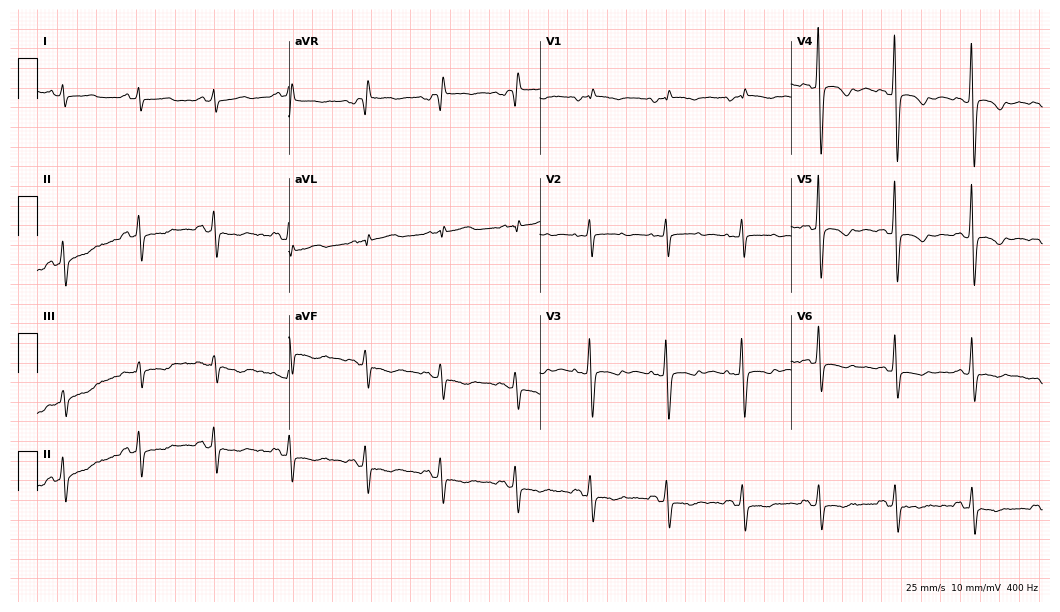
Standard 12-lead ECG recorded from a woman, 48 years old. None of these six findings is recorded: first-degree AV block, right bundle branch block (RBBB), left bundle branch block (LBBB), sinus bradycardia, atrial fibrillation (AF), sinus tachycardia. Only these six findings were labelled.